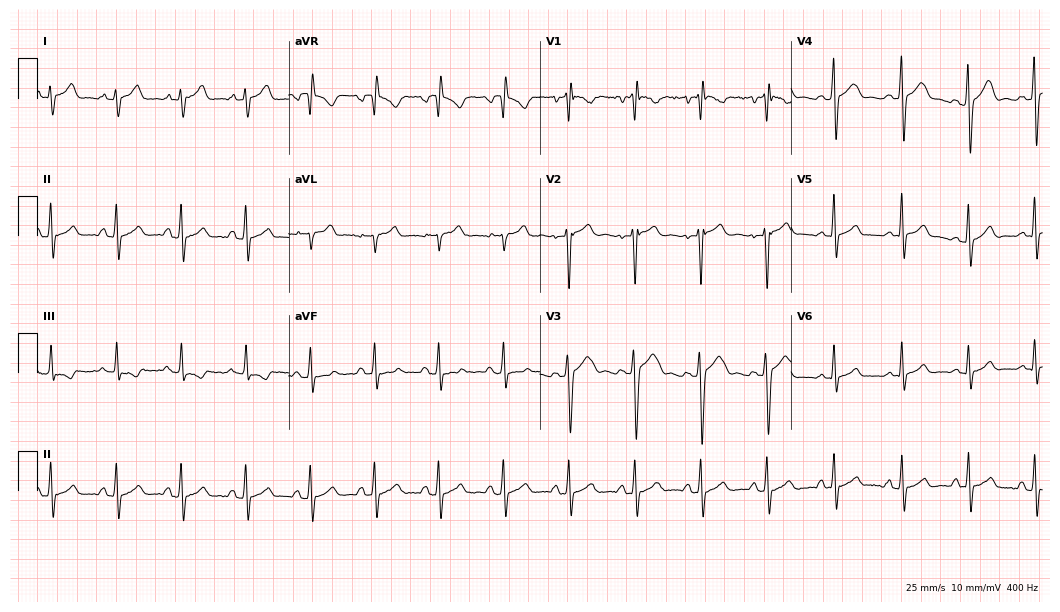
Resting 12-lead electrocardiogram (10.2-second recording at 400 Hz). Patient: a 20-year-old male. Read as a normal ECG.